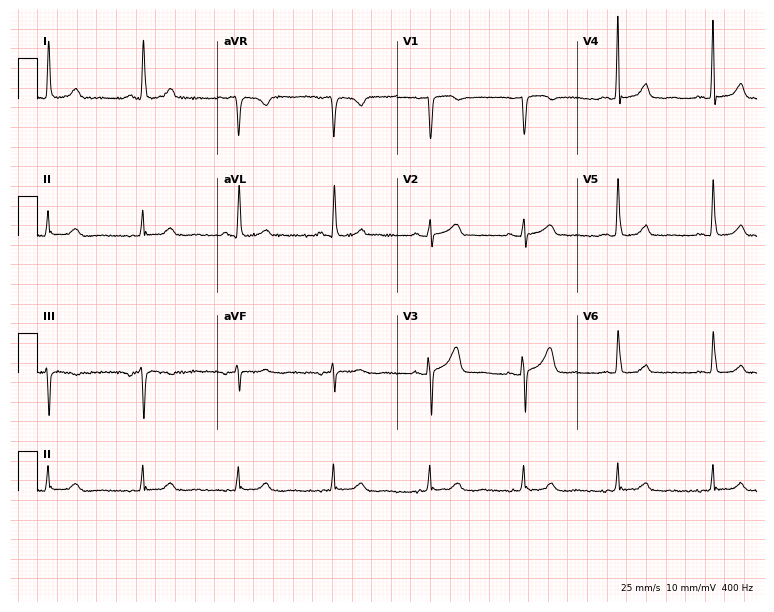
12-lead ECG from a female patient, 68 years old. No first-degree AV block, right bundle branch block (RBBB), left bundle branch block (LBBB), sinus bradycardia, atrial fibrillation (AF) or sinus tachycardia recorded for this tracing.